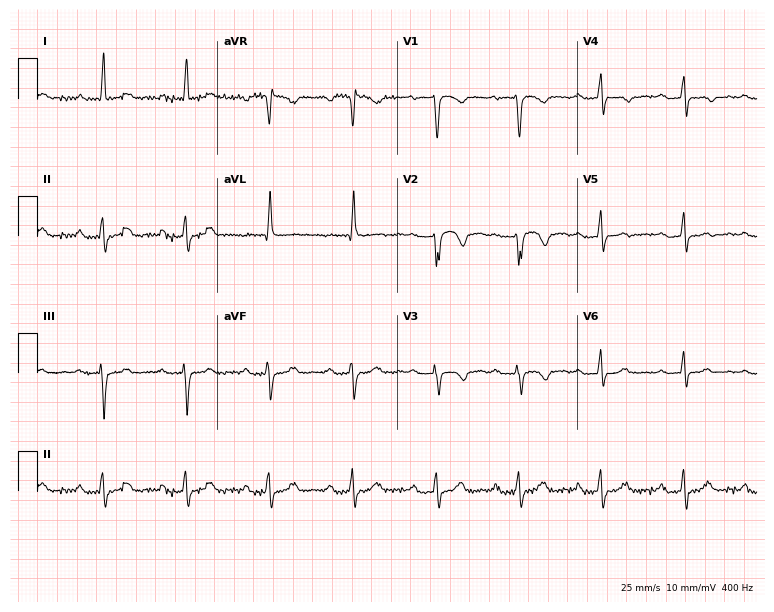
Resting 12-lead electrocardiogram. Patient: a 72-year-old female. The tracing shows first-degree AV block.